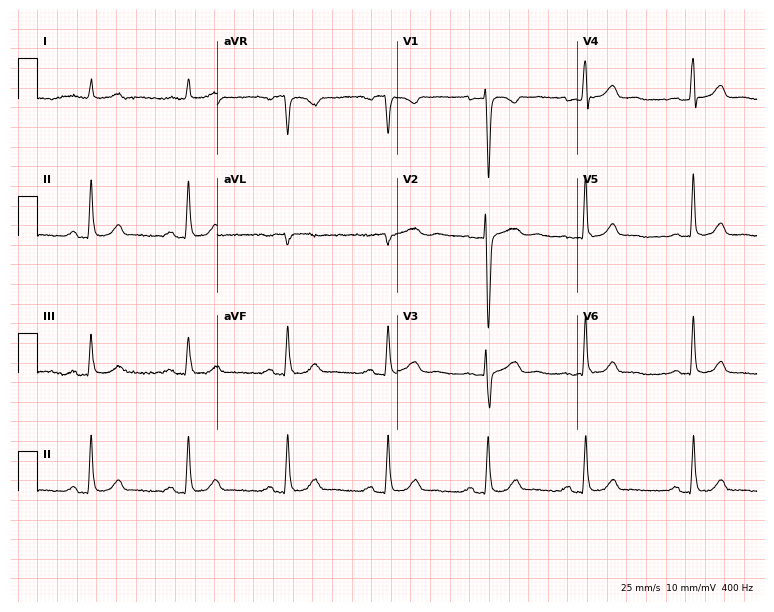
Standard 12-lead ECG recorded from a man, 60 years old (7.3-second recording at 400 Hz). Read as a normal ECG.